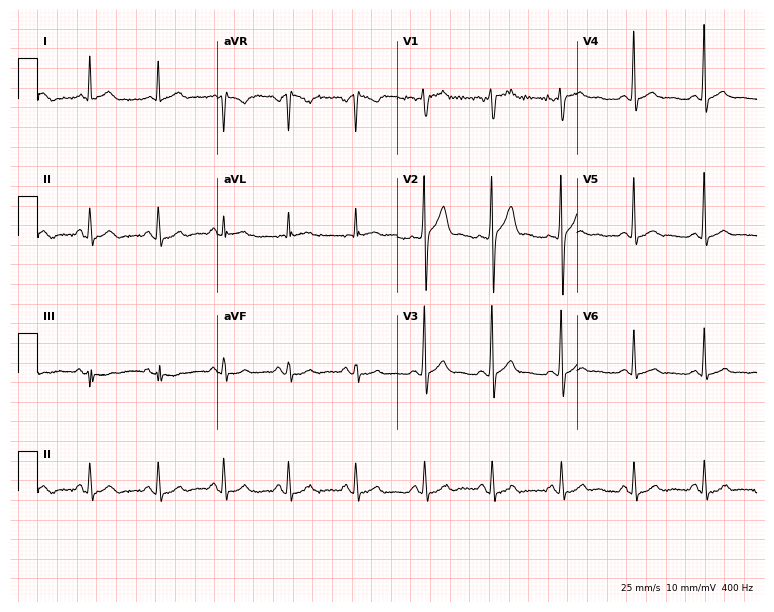
12-lead ECG from a male patient, 35 years old (7.3-second recording at 400 Hz). No first-degree AV block, right bundle branch block (RBBB), left bundle branch block (LBBB), sinus bradycardia, atrial fibrillation (AF) or sinus tachycardia recorded for this tracing.